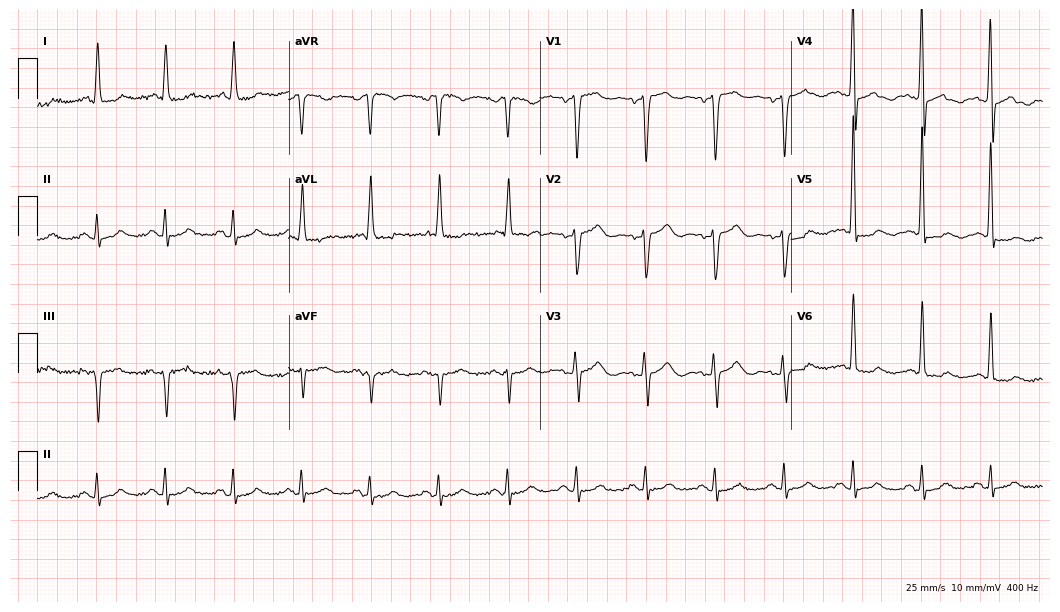
12-lead ECG (10.2-second recording at 400 Hz) from a female, 72 years old. Screened for six findings — first-degree AV block, right bundle branch block, left bundle branch block, sinus bradycardia, atrial fibrillation, sinus tachycardia — none is recorded.